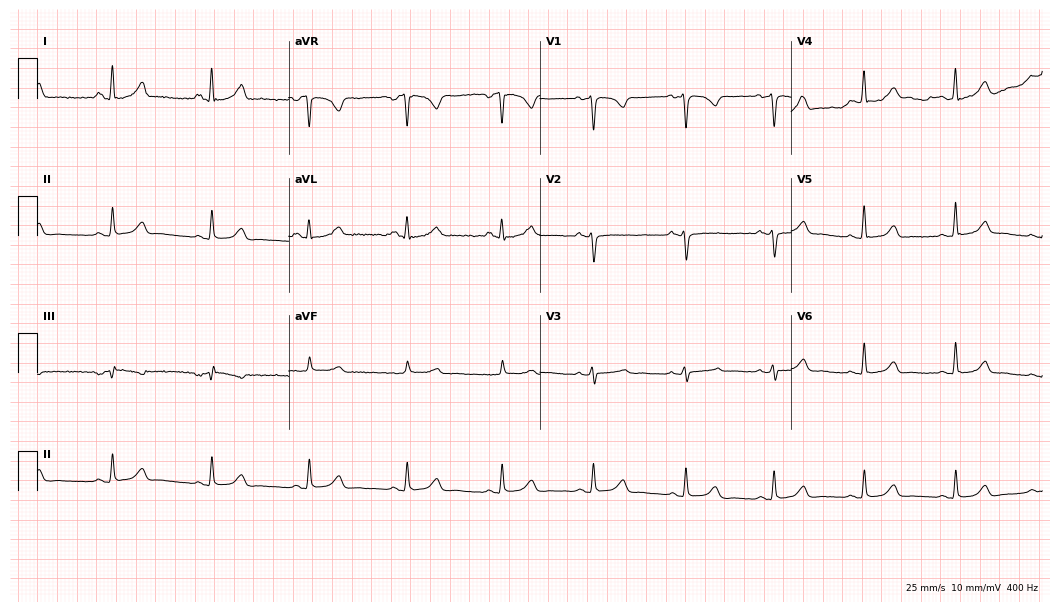
Electrocardiogram (10.2-second recording at 400 Hz), a female patient, 26 years old. Overall reading on record: normal ECG.